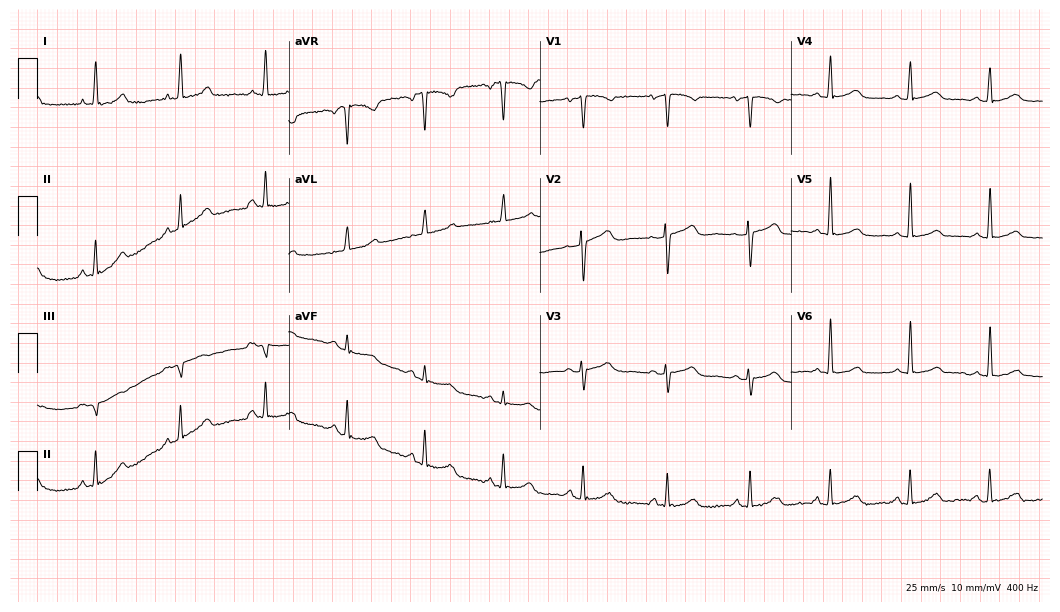
ECG — a 60-year-old female. Labelled as a normal ECG.